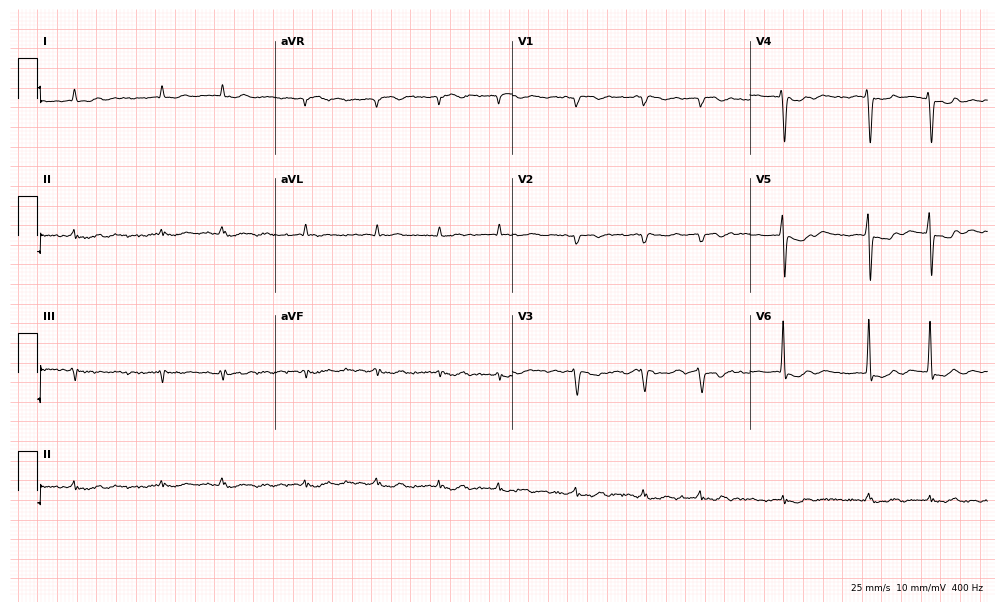
ECG (9.7-second recording at 400 Hz) — a male patient, 83 years old. Findings include atrial fibrillation (AF).